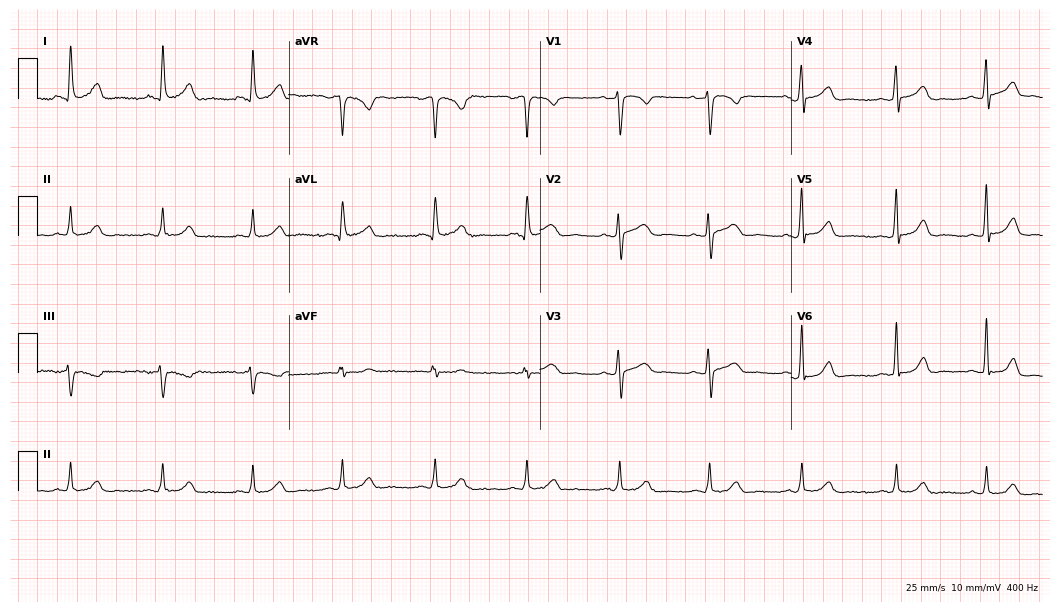
12-lead ECG from a 31-year-old female patient (10.2-second recording at 400 Hz). Recorded interpretation: within normal limits.